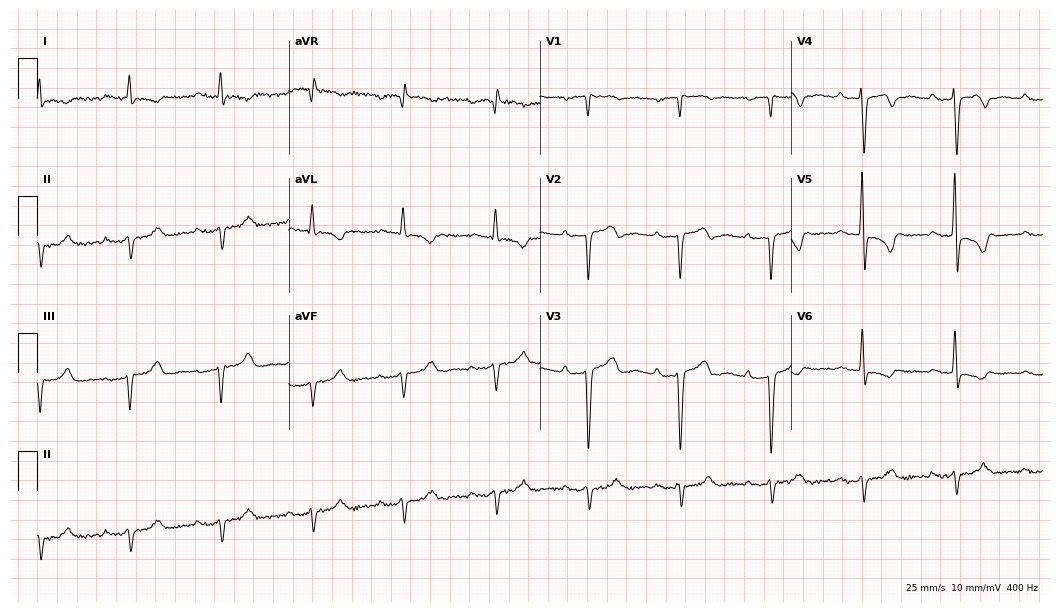
Resting 12-lead electrocardiogram. Patient: an 82-year-old male. None of these six findings is recorded: first-degree AV block, right bundle branch block, left bundle branch block, sinus bradycardia, atrial fibrillation, sinus tachycardia.